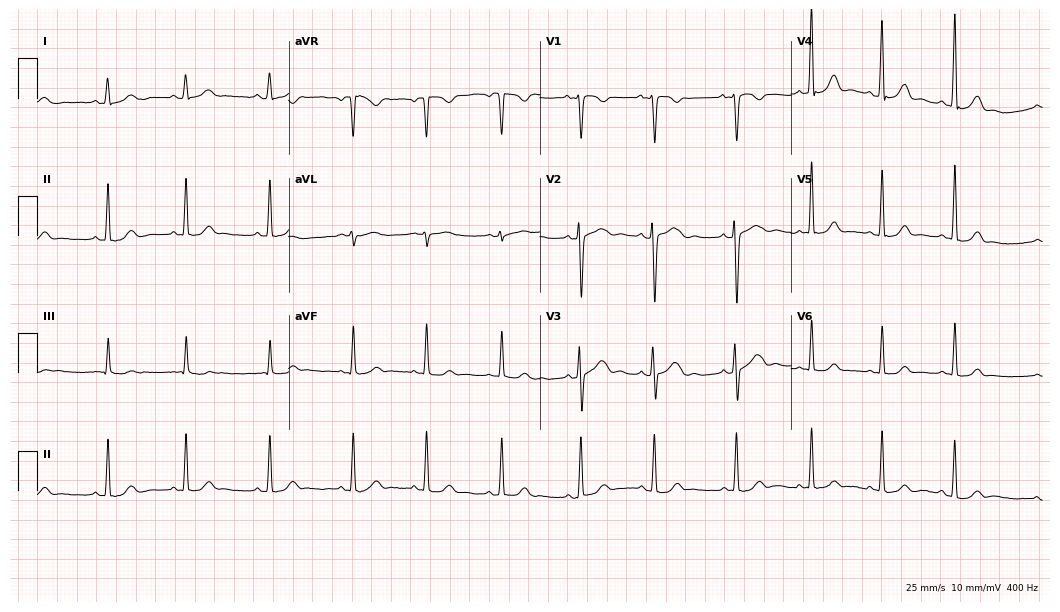
Electrocardiogram, a 17-year-old female. Of the six screened findings (first-degree AV block, right bundle branch block, left bundle branch block, sinus bradycardia, atrial fibrillation, sinus tachycardia), none is recorded.